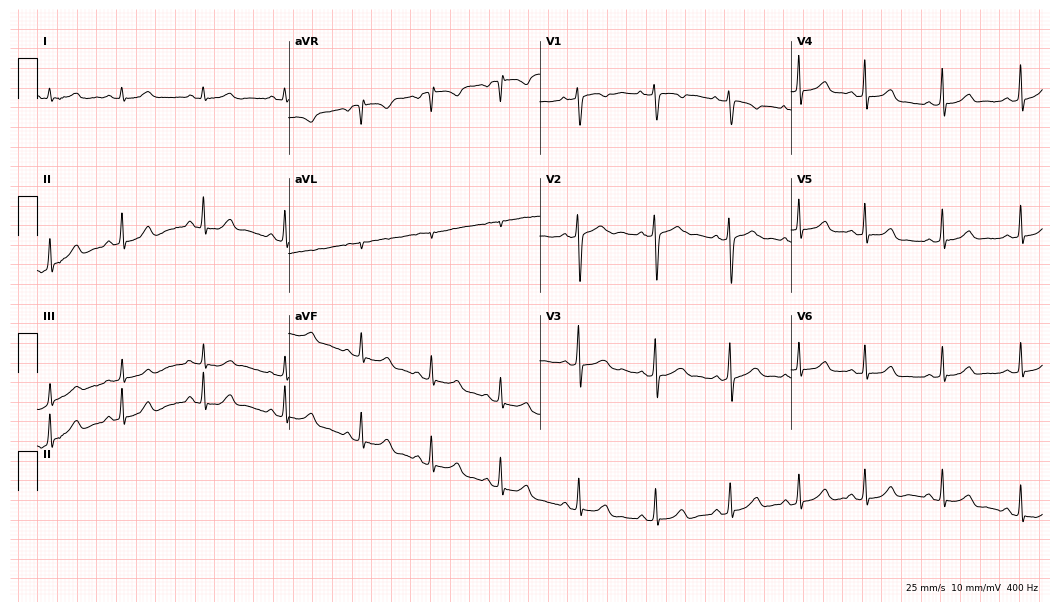
12-lead ECG from a 19-year-old female patient. Recorded interpretation: within normal limits.